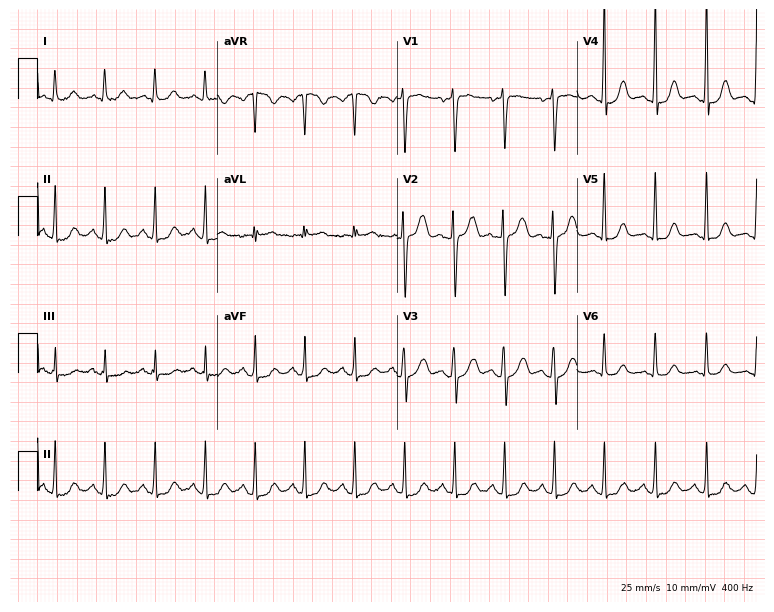
Standard 12-lead ECG recorded from a 38-year-old woman (7.3-second recording at 400 Hz). The tracing shows sinus tachycardia (a sinus rate of 100 beats per minute or more).